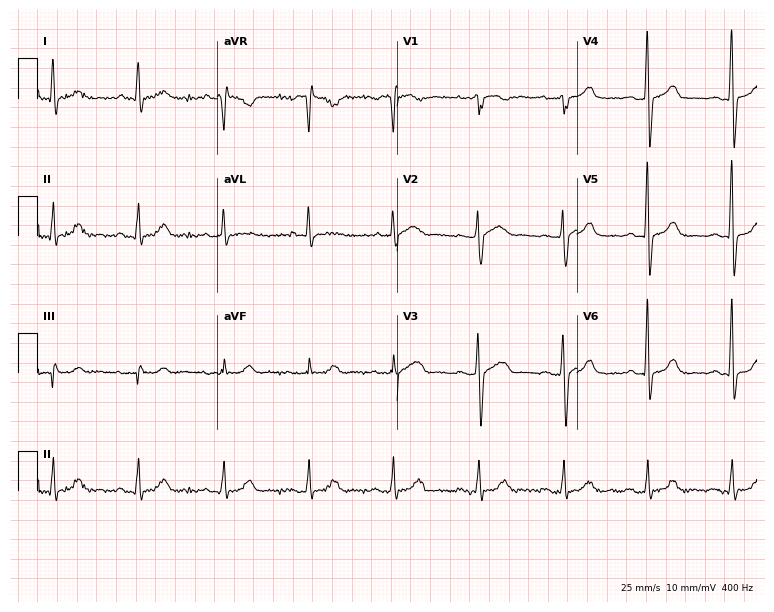
Standard 12-lead ECG recorded from a female patient, 52 years old. Read as a normal ECG.